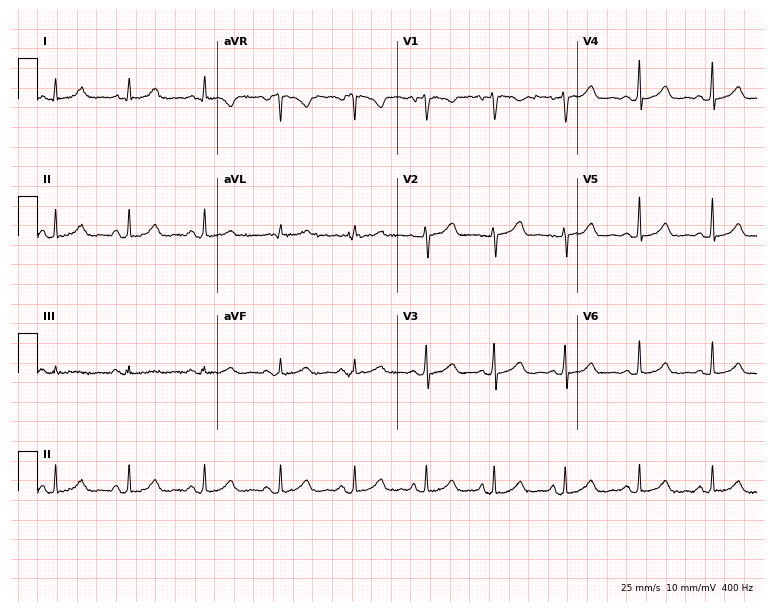
Standard 12-lead ECG recorded from a female patient, 50 years old. Read as a normal ECG.